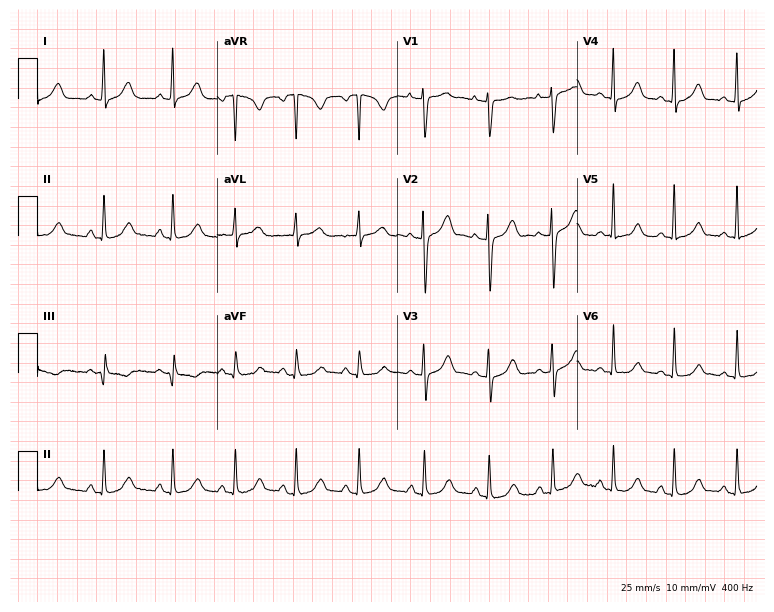
12-lead ECG (7.3-second recording at 400 Hz) from a 23-year-old woman. Labelled as a normal ECG.